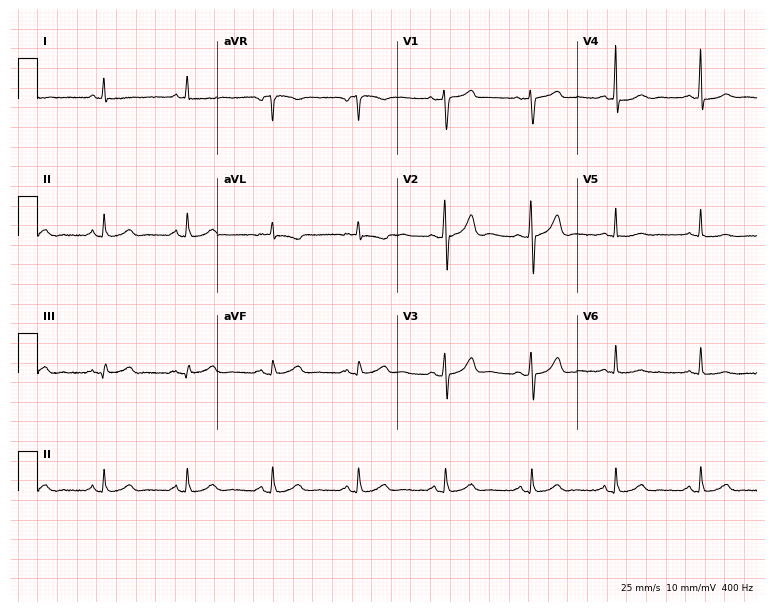
Resting 12-lead electrocardiogram (7.3-second recording at 400 Hz). Patient: a 72-year-old female. Read as a normal ECG.